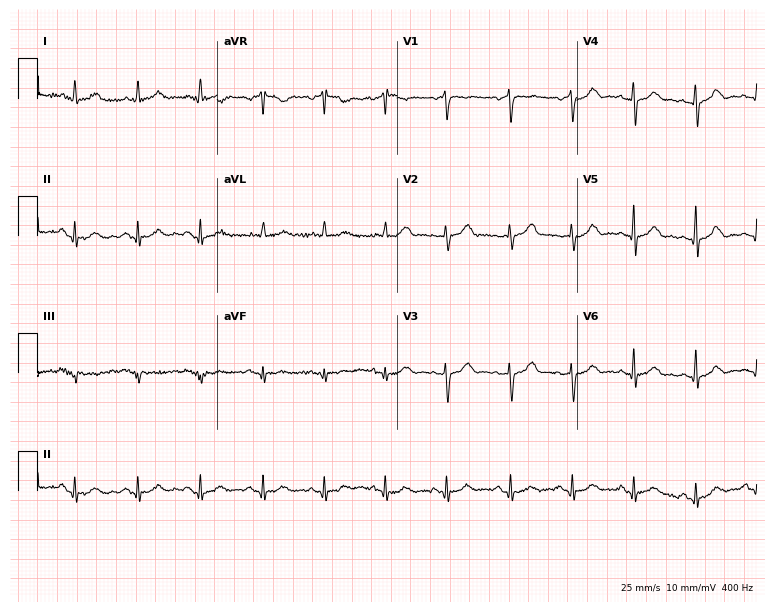
ECG — an 82-year-old female. Labelled as a normal ECG.